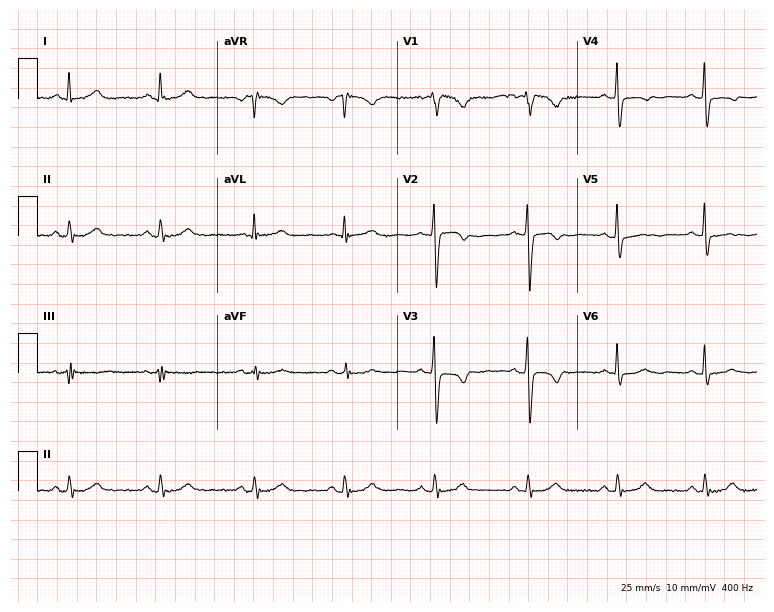
Standard 12-lead ECG recorded from a 47-year-old woman (7.3-second recording at 400 Hz). None of these six findings is recorded: first-degree AV block, right bundle branch block, left bundle branch block, sinus bradycardia, atrial fibrillation, sinus tachycardia. Only these six findings were labelled.